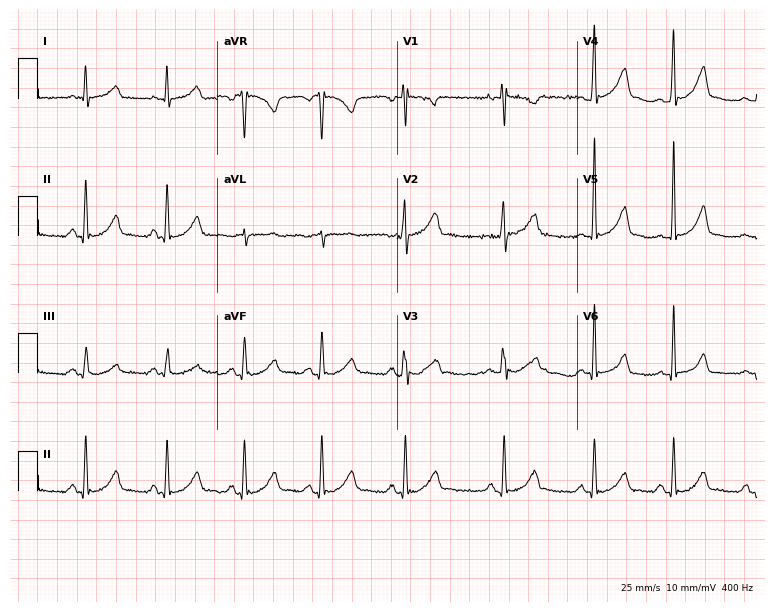
Standard 12-lead ECG recorded from a woman, 17 years old (7.3-second recording at 400 Hz). None of these six findings is recorded: first-degree AV block, right bundle branch block, left bundle branch block, sinus bradycardia, atrial fibrillation, sinus tachycardia. Only these six findings were labelled.